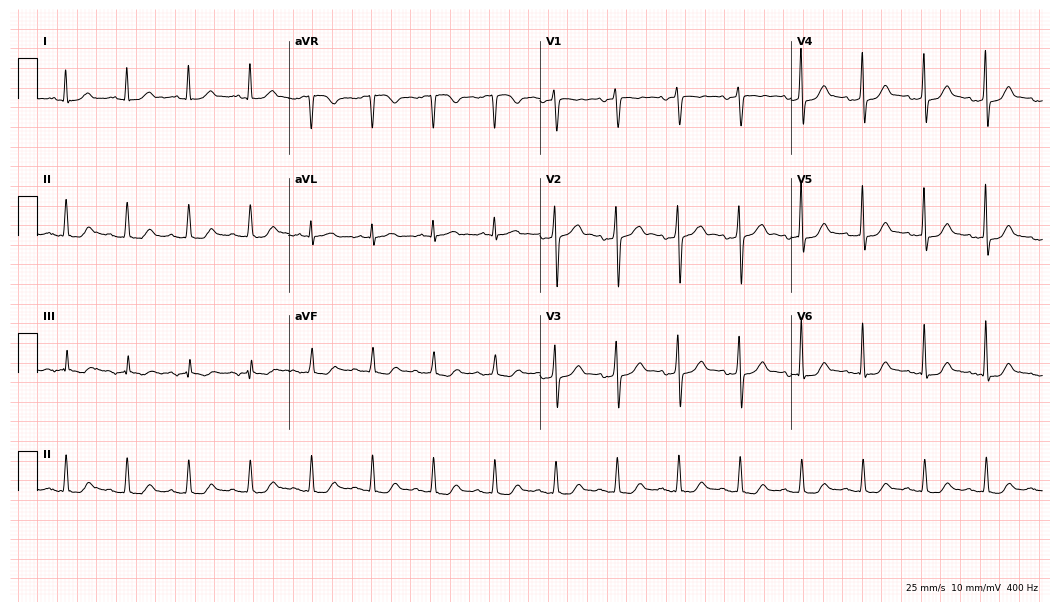
12-lead ECG from a 67-year-old female (10.2-second recording at 400 Hz). No first-degree AV block, right bundle branch block, left bundle branch block, sinus bradycardia, atrial fibrillation or sinus tachycardia recorded for this tracing. Other findings, if any, are not listed.